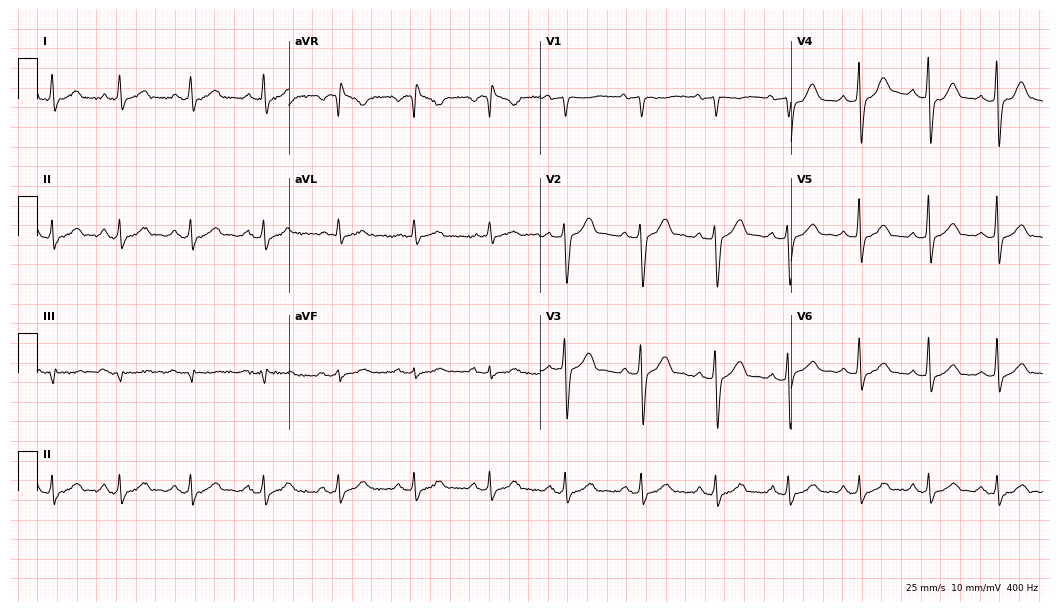
12-lead ECG (10.2-second recording at 400 Hz) from a 44-year-old man. Screened for six findings — first-degree AV block, right bundle branch block, left bundle branch block, sinus bradycardia, atrial fibrillation, sinus tachycardia — none is recorded. Other findings, if any, are not listed.